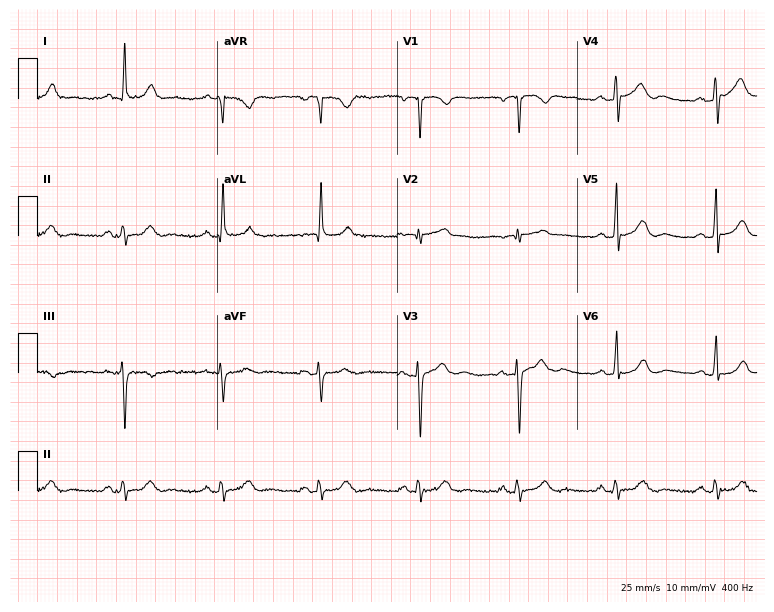
Standard 12-lead ECG recorded from a man, 64 years old (7.3-second recording at 400 Hz). Read as a normal ECG.